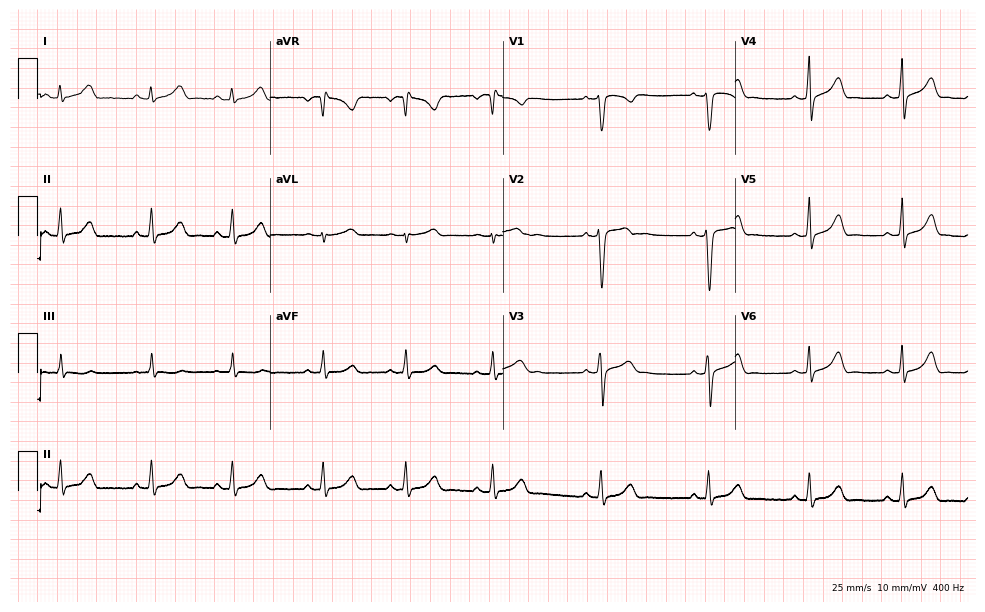
ECG — a female patient, 19 years old. Labelled as a normal ECG.